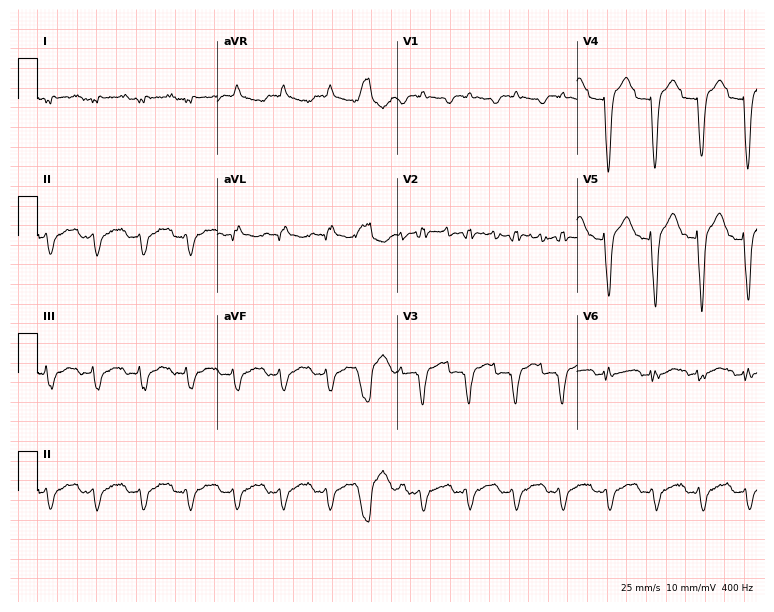
Electrocardiogram (7.3-second recording at 400 Hz), a man, 52 years old. Interpretation includes sinus tachycardia (a sinus rate of 100 beats per minute or more).